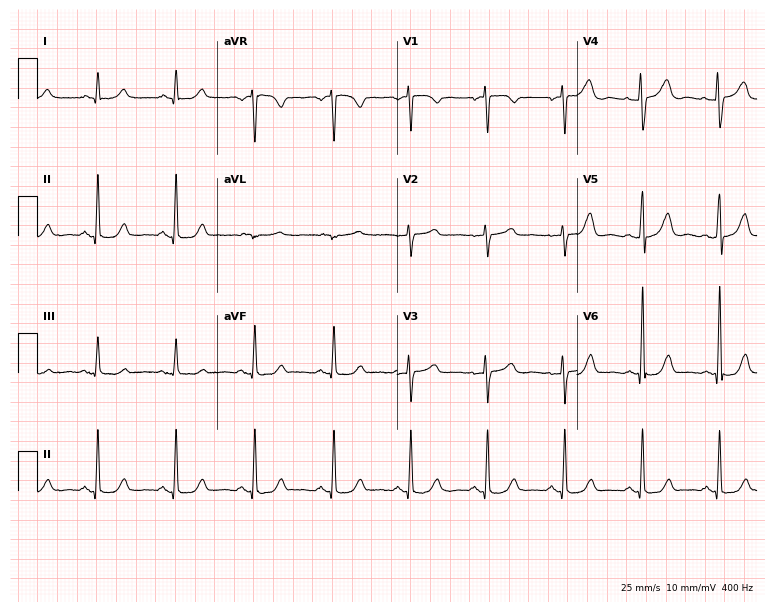
12-lead ECG from a 56-year-old female. Labelled as a normal ECG.